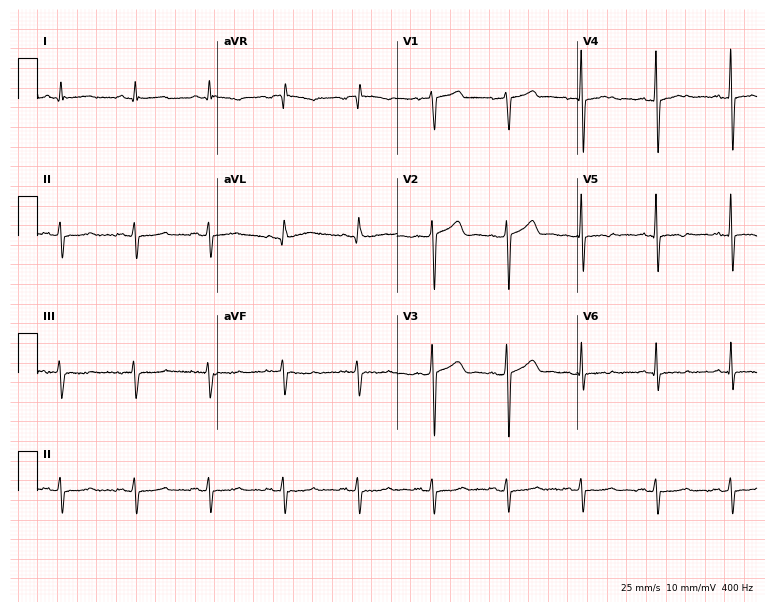
12-lead ECG from a 52-year-old male (7.3-second recording at 400 Hz). No first-degree AV block, right bundle branch block, left bundle branch block, sinus bradycardia, atrial fibrillation or sinus tachycardia recorded for this tracing. Findings outside these six are not listed.